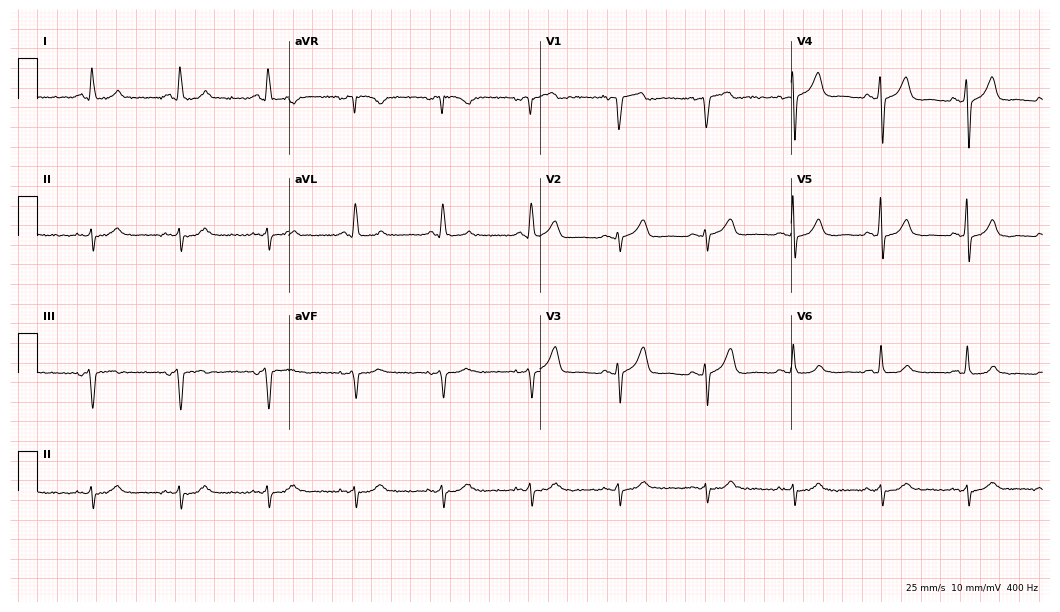
Resting 12-lead electrocardiogram. Patient: a 71-year-old male. None of these six findings is recorded: first-degree AV block, right bundle branch block, left bundle branch block, sinus bradycardia, atrial fibrillation, sinus tachycardia. Findings outside these six are not listed.